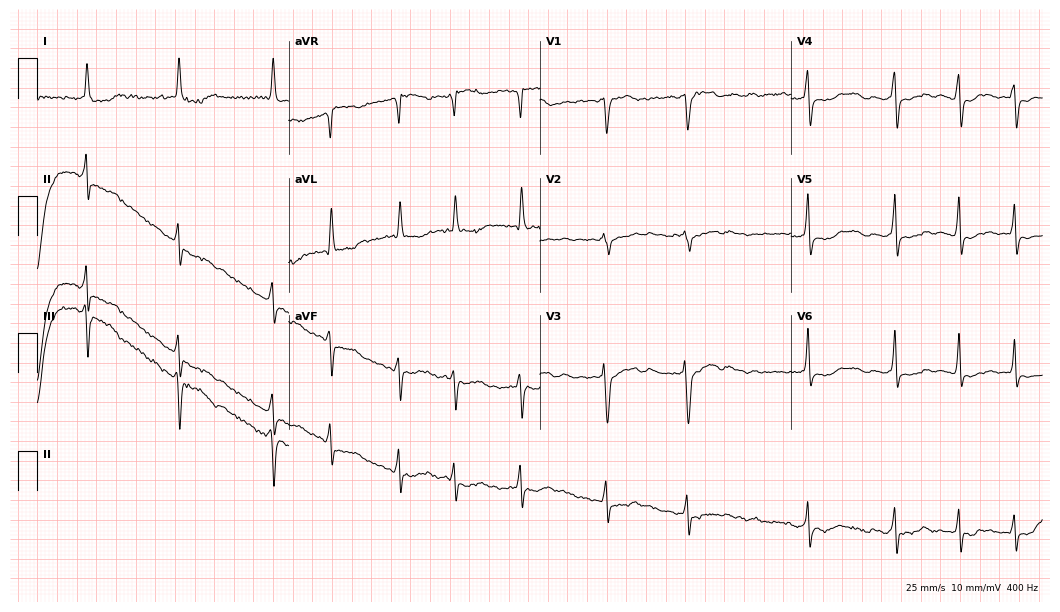
Standard 12-lead ECG recorded from a 73-year-old female. None of these six findings is recorded: first-degree AV block, right bundle branch block (RBBB), left bundle branch block (LBBB), sinus bradycardia, atrial fibrillation (AF), sinus tachycardia.